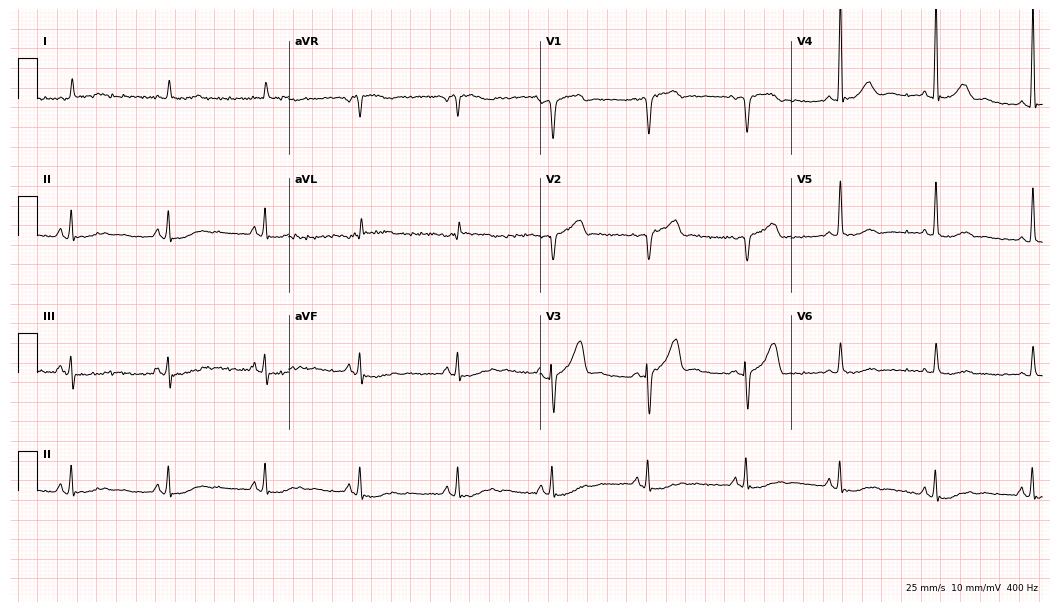
12-lead ECG from a male, 80 years old (10.2-second recording at 400 Hz). Recorded interpretation: within normal limits.